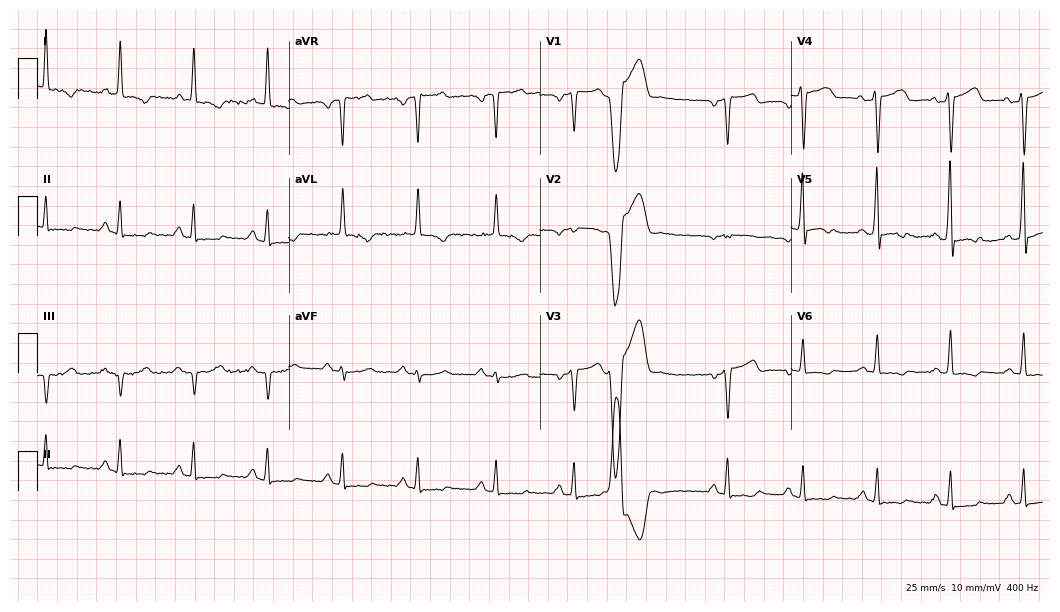
12-lead ECG (10.2-second recording at 400 Hz) from a man, 40 years old. Screened for six findings — first-degree AV block, right bundle branch block, left bundle branch block, sinus bradycardia, atrial fibrillation, sinus tachycardia — none is recorded. Other findings, if any, are not listed.